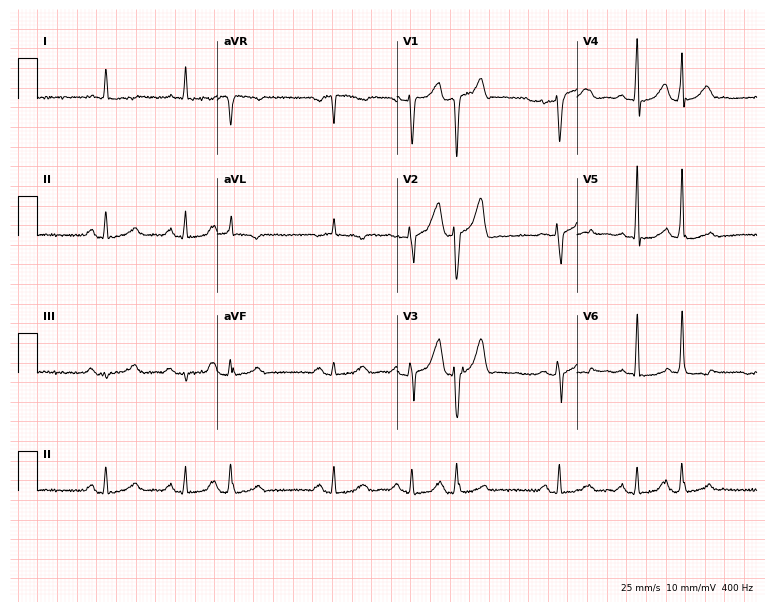
Electrocardiogram, a 73-year-old male. Of the six screened findings (first-degree AV block, right bundle branch block, left bundle branch block, sinus bradycardia, atrial fibrillation, sinus tachycardia), none is recorded. Only these six findings were labelled.